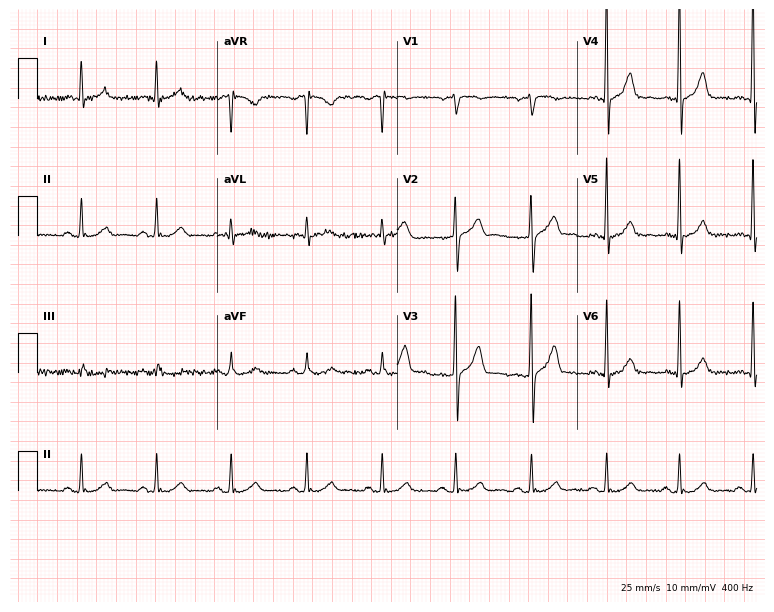
ECG — a male patient, 58 years old. Screened for six findings — first-degree AV block, right bundle branch block, left bundle branch block, sinus bradycardia, atrial fibrillation, sinus tachycardia — none is recorded. Other findings, if any, are not listed.